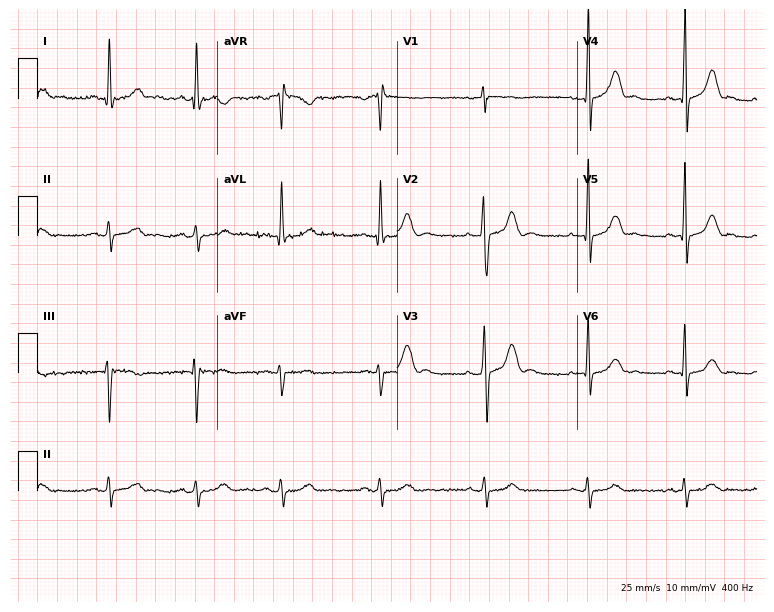
12-lead ECG from a 26-year-old female (7.3-second recording at 400 Hz). No first-degree AV block, right bundle branch block (RBBB), left bundle branch block (LBBB), sinus bradycardia, atrial fibrillation (AF) or sinus tachycardia recorded for this tracing. Other findings, if any, are not listed.